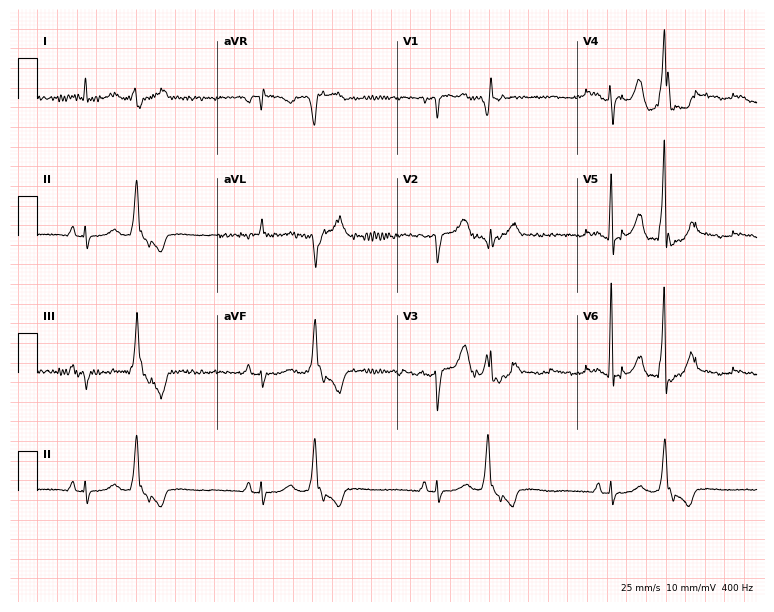
Standard 12-lead ECG recorded from a 66-year-old male. None of these six findings is recorded: first-degree AV block, right bundle branch block (RBBB), left bundle branch block (LBBB), sinus bradycardia, atrial fibrillation (AF), sinus tachycardia. Other findings, if any, are not listed.